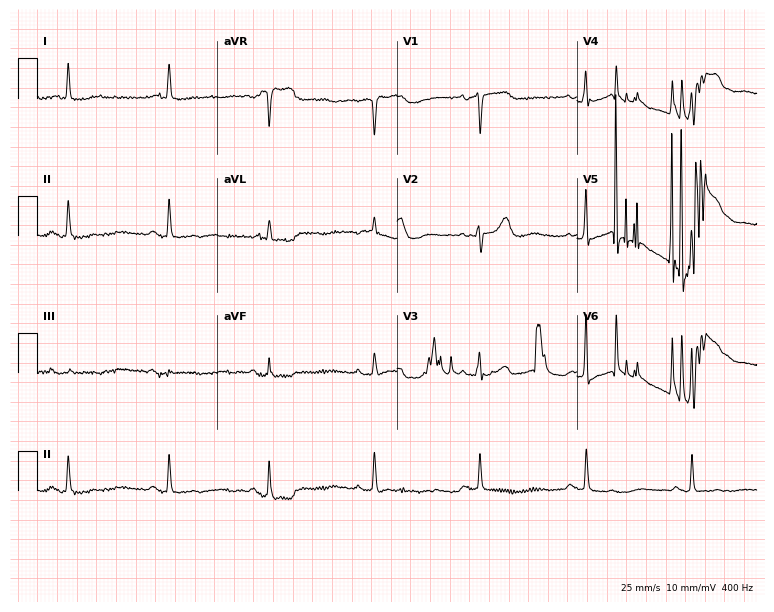
12-lead ECG (7.3-second recording at 400 Hz) from an 82-year-old woman. Screened for six findings — first-degree AV block, right bundle branch block (RBBB), left bundle branch block (LBBB), sinus bradycardia, atrial fibrillation (AF), sinus tachycardia — none is recorded.